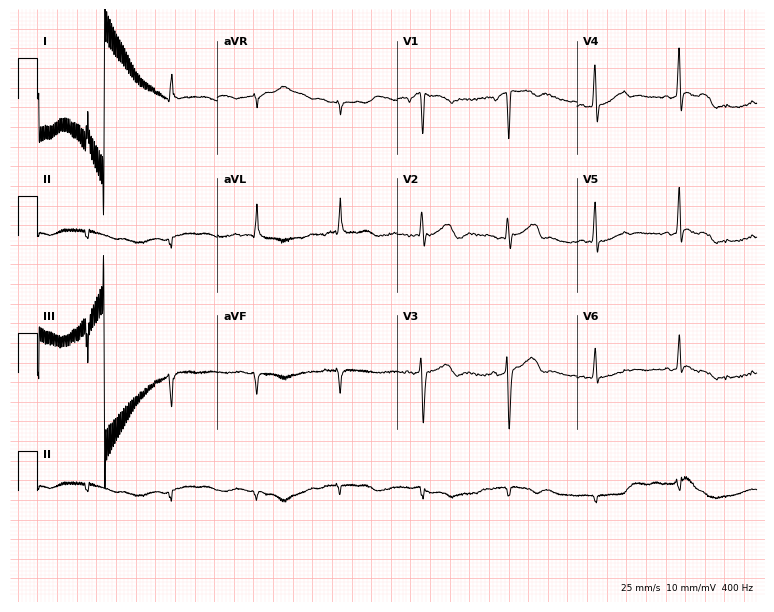
Resting 12-lead electrocardiogram (7.3-second recording at 400 Hz). Patient: a 59-year-old female. None of these six findings is recorded: first-degree AV block, right bundle branch block, left bundle branch block, sinus bradycardia, atrial fibrillation, sinus tachycardia. Only these six findings were labelled.